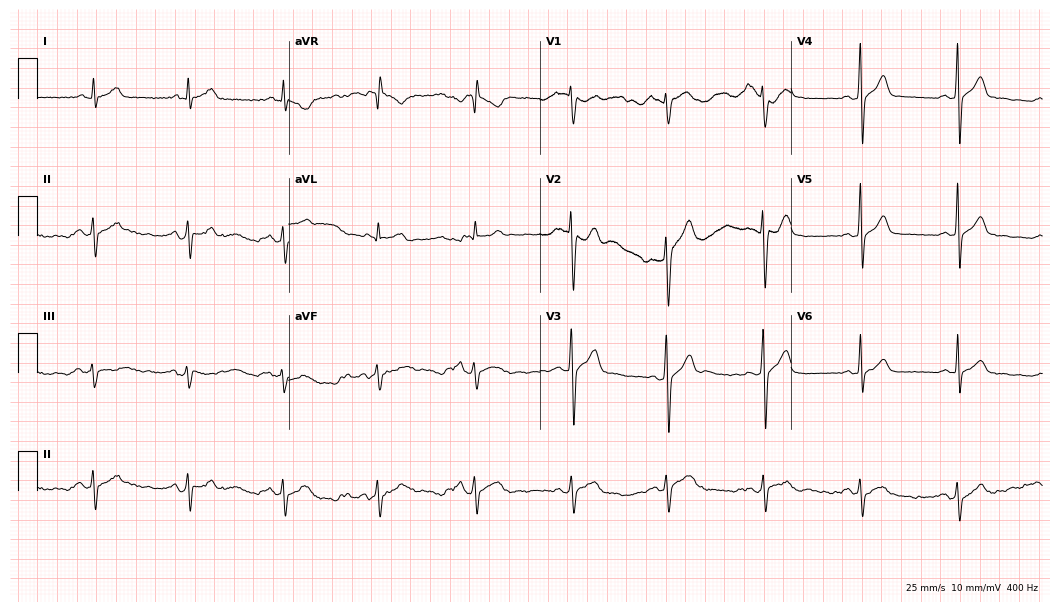
12-lead ECG (10.2-second recording at 400 Hz) from a male, 39 years old. Screened for six findings — first-degree AV block, right bundle branch block (RBBB), left bundle branch block (LBBB), sinus bradycardia, atrial fibrillation (AF), sinus tachycardia — none is recorded.